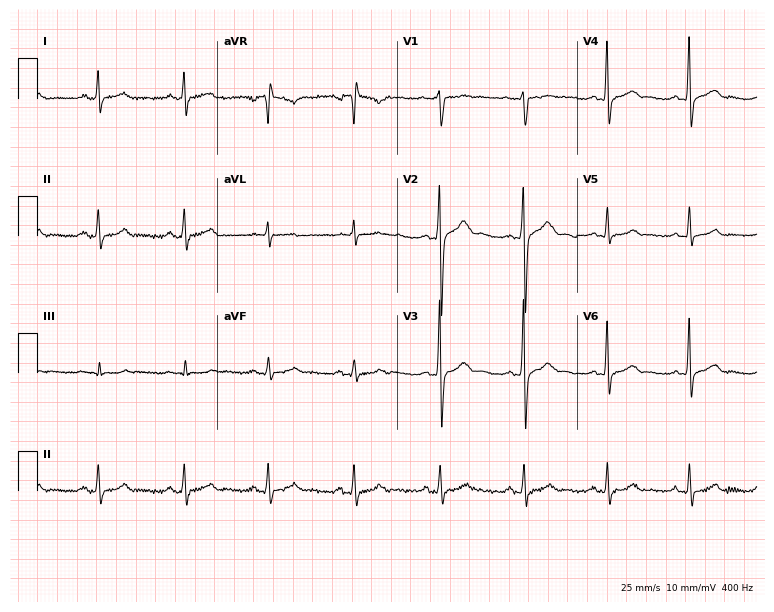
12-lead ECG from a man, 34 years old. Recorded interpretation: within normal limits.